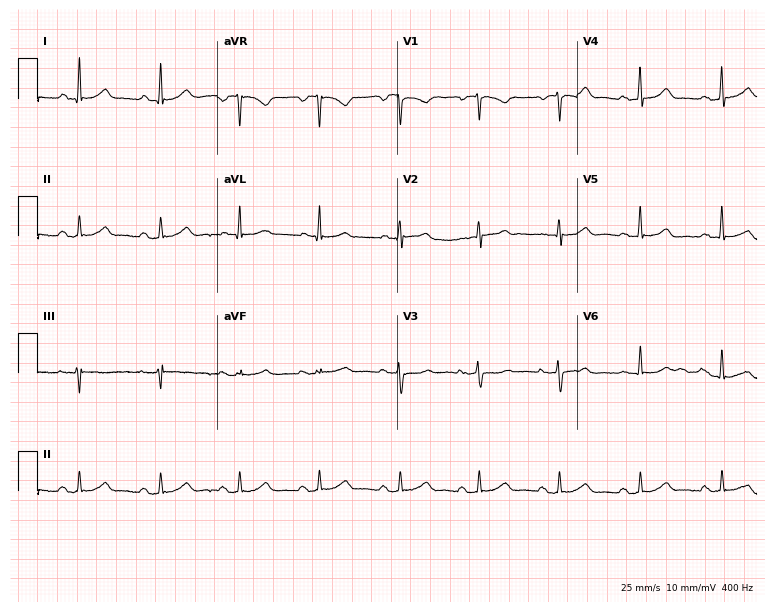
Electrocardiogram, a woman, 41 years old. Overall reading on record: normal ECG.